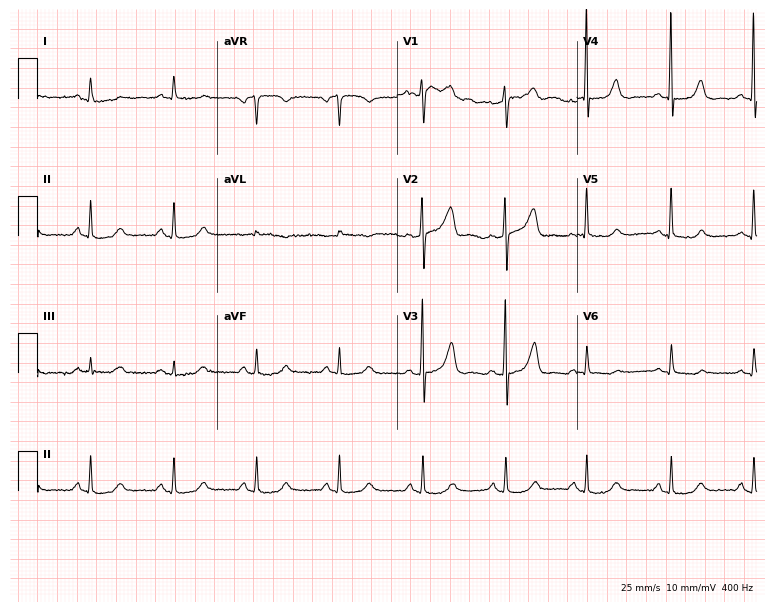
Electrocardiogram (7.3-second recording at 400 Hz), a 61-year-old female. Overall reading on record: normal ECG.